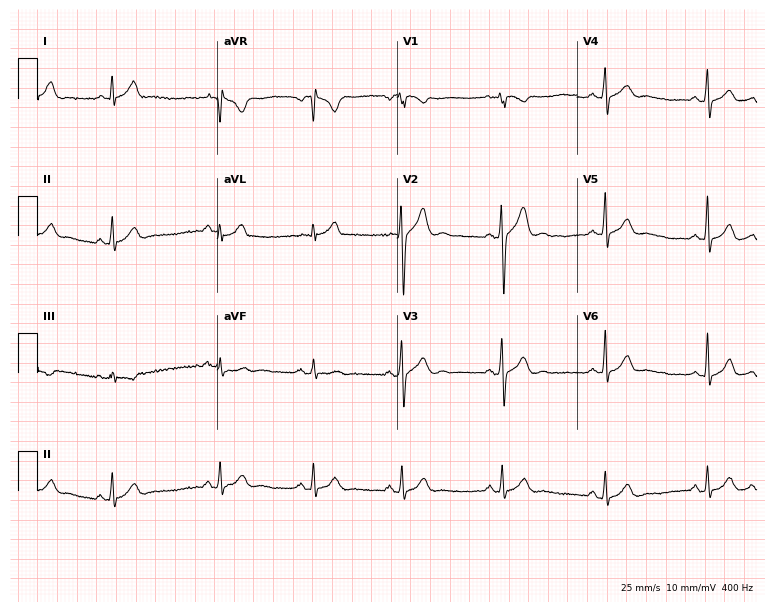
Resting 12-lead electrocardiogram. Patient: a male, 33 years old. None of these six findings is recorded: first-degree AV block, right bundle branch block, left bundle branch block, sinus bradycardia, atrial fibrillation, sinus tachycardia.